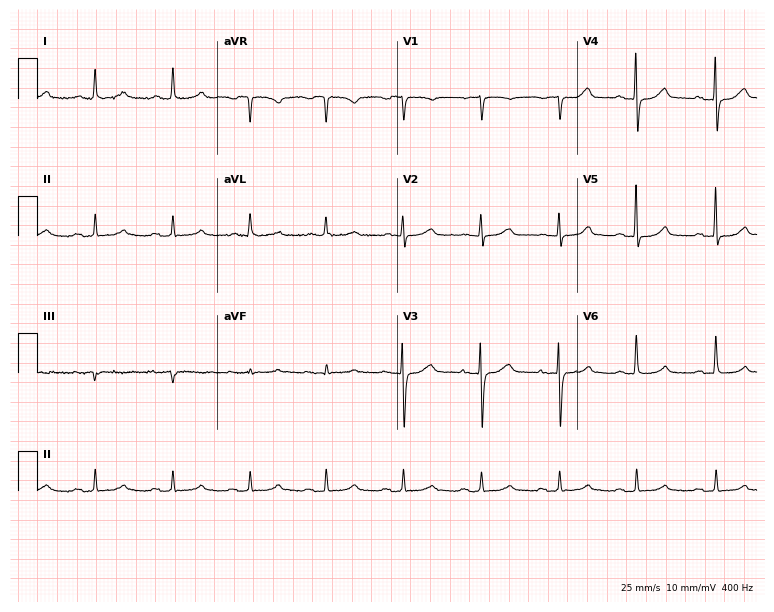
ECG (7.3-second recording at 400 Hz) — a woman, 79 years old. Screened for six findings — first-degree AV block, right bundle branch block, left bundle branch block, sinus bradycardia, atrial fibrillation, sinus tachycardia — none is recorded. Only these six findings were labelled.